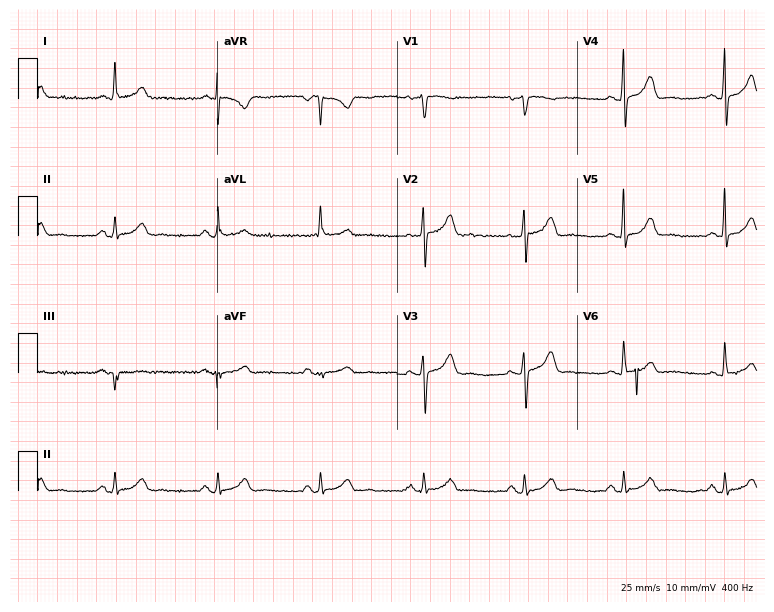
Electrocardiogram, a female patient, 74 years old. Overall reading on record: normal ECG.